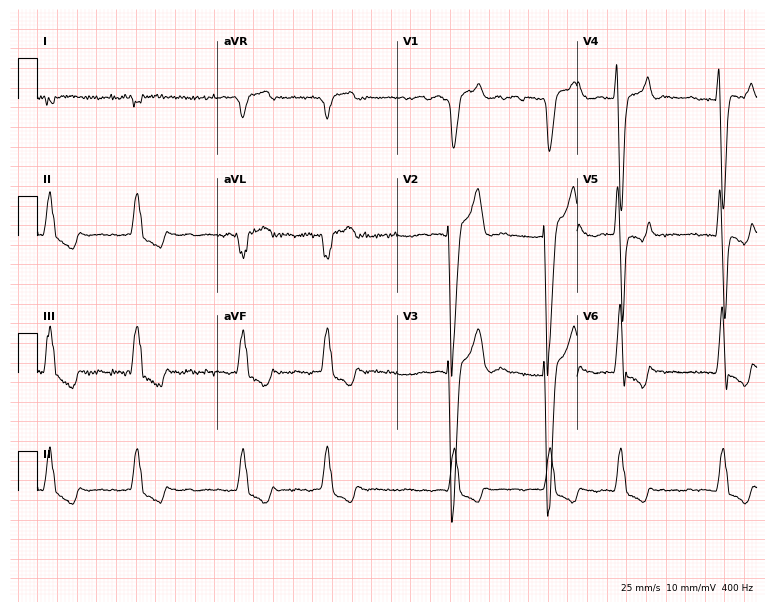
12-lead ECG (7.3-second recording at 400 Hz) from a 60-year-old female patient. Findings include left bundle branch block (LBBB), atrial fibrillation (AF).